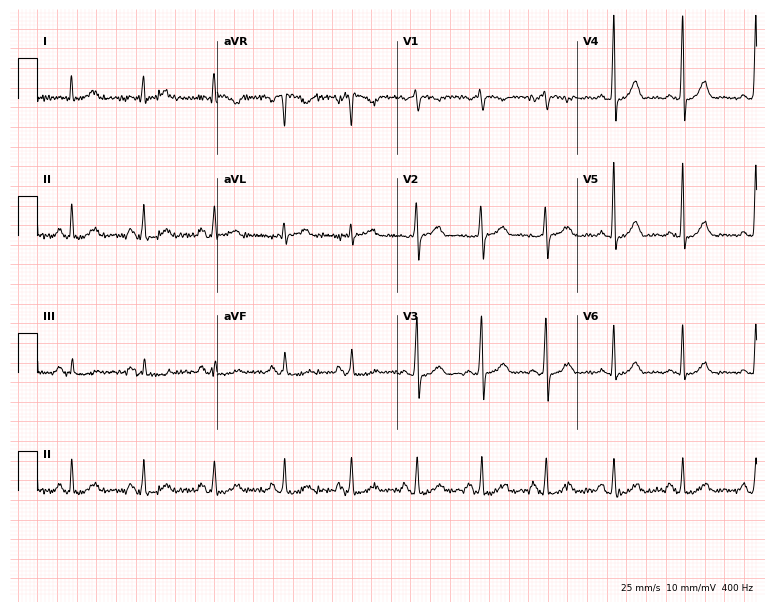
Electrocardiogram, a 64-year-old male patient. Overall reading on record: normal ECG.